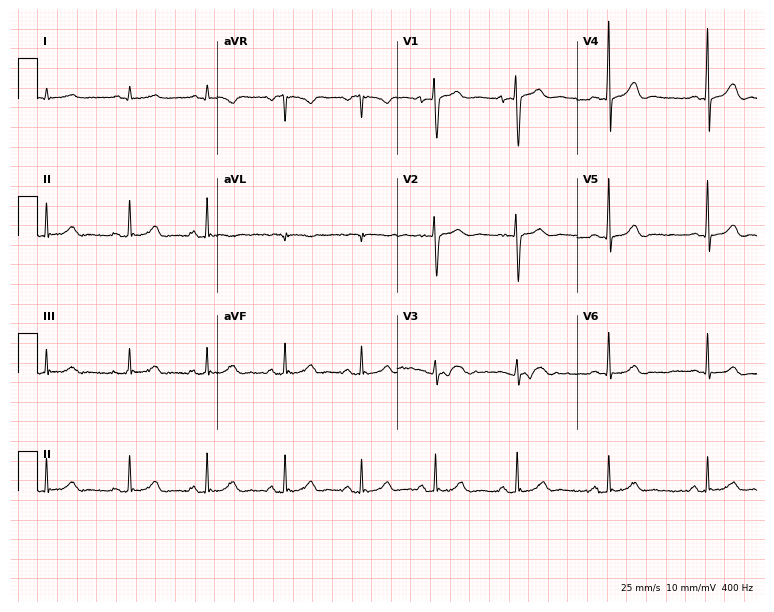
Electrocardiogram (7.3-second recording at 400 Hz), a male, 17 years old. Overall reading on record: normal ECG.